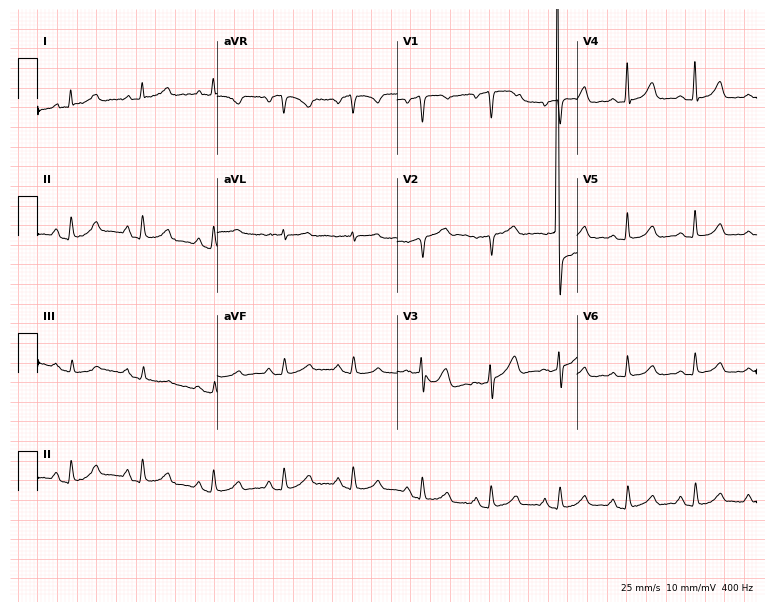
Electrocardiogram, a 54-year-old woman. Of the six screened findings (first-degree AV block, right bundle branch block, left bundle branch block, sinus bradycardia, atrial fibrillation, sinus tachycardia), none is recorded. Findings outside these six are not listed.